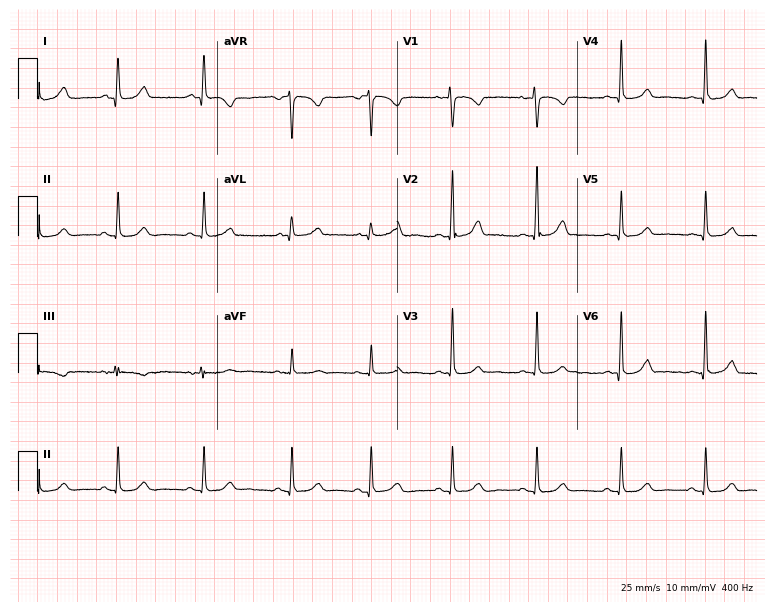
12-lead ECG from a female patient, 39 years old (7.3-second recording at 400 Hz). Recorded interpretation: within normal limits.